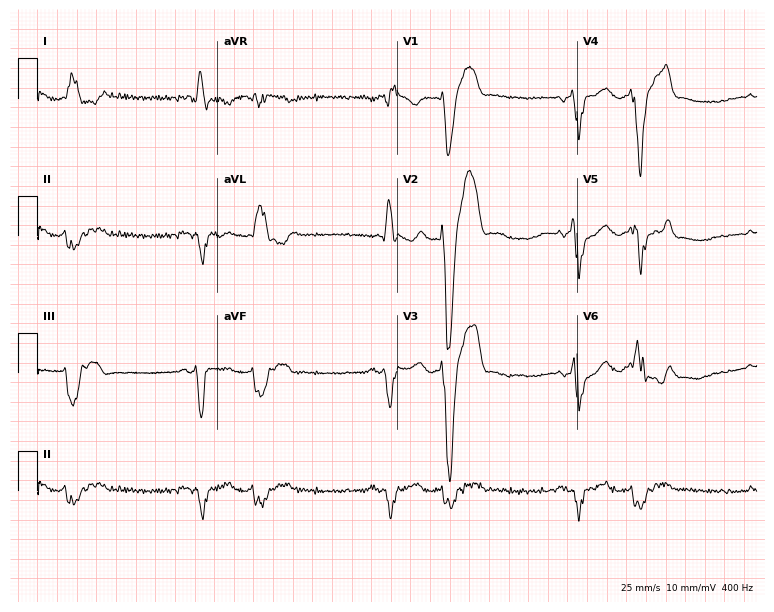
12-lead ECG from a 79-year-old man. Findings include right bundle branch block.